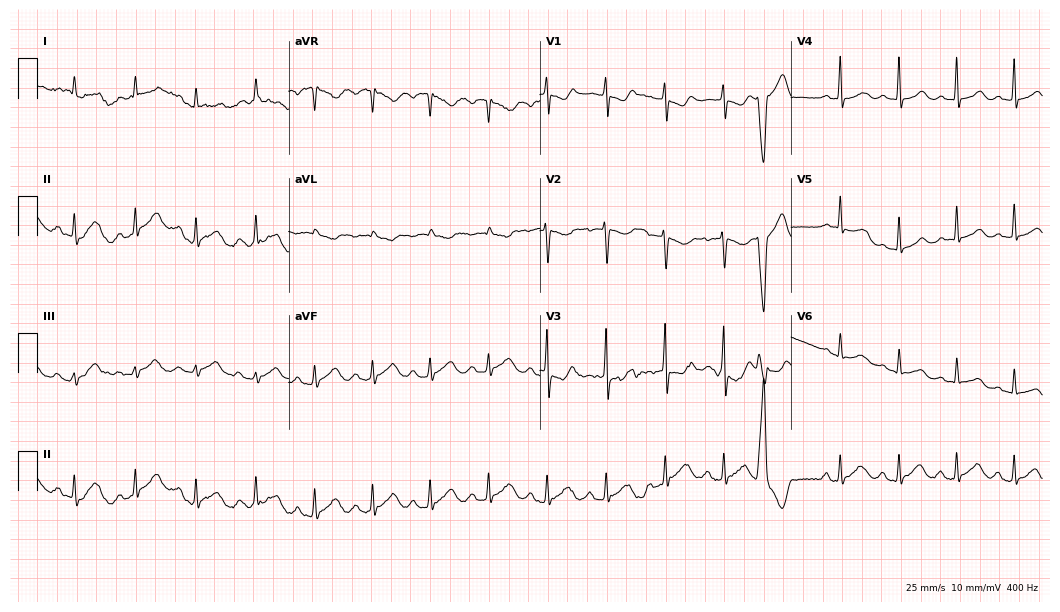
Standard 12-lead ECG recorded from a female patient, 45 years old. Read as a normal ECG.